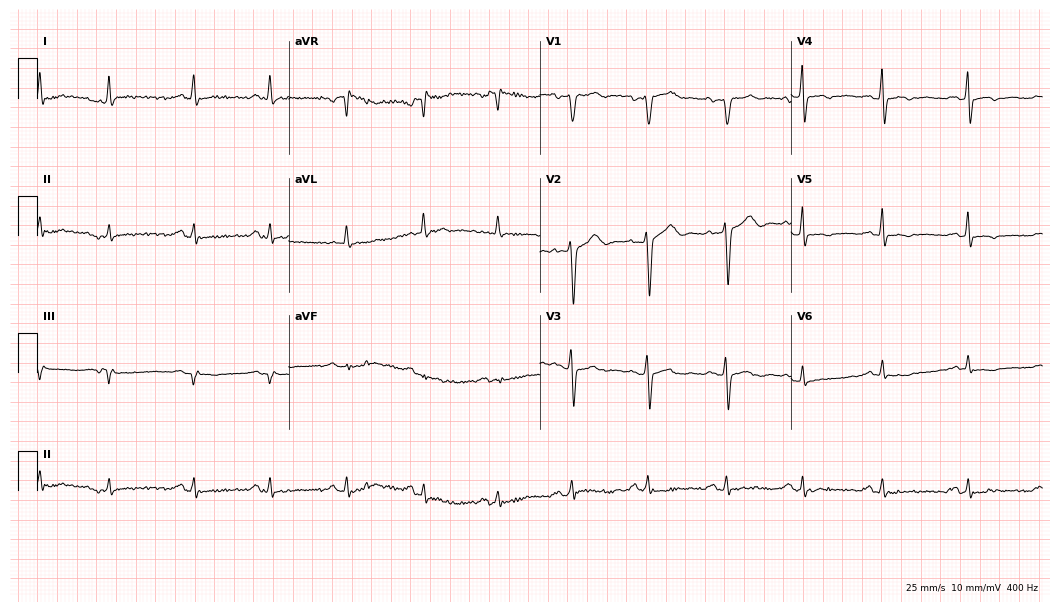
12-lead ECG (10.2-second recording at 400 Hz) from a male, 59 years old. Screened for six findings — first-degree AV block, right bundle branch block, left bundle branch block, sinus bradycardia, atrial fibrillation, sinus tachycardia — none is recorded.